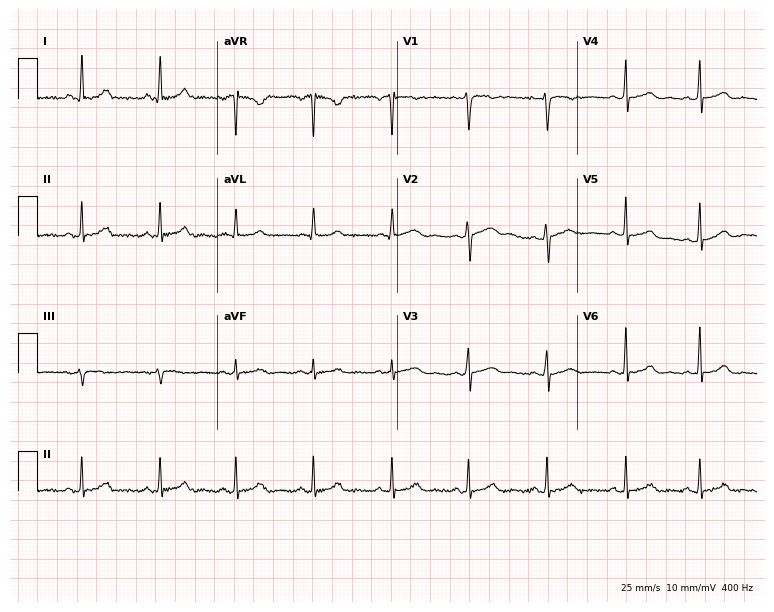
Resting 12-lead electrocardiogram (7.3-second recording at 400 Hz). Patient: a 24-year-old woman. None of these six findings is recorded: first-degree AV block, right bundle branch block, left bundle branch block, sinus bradycardia, atrial fibrillation, sinus tachycardia.